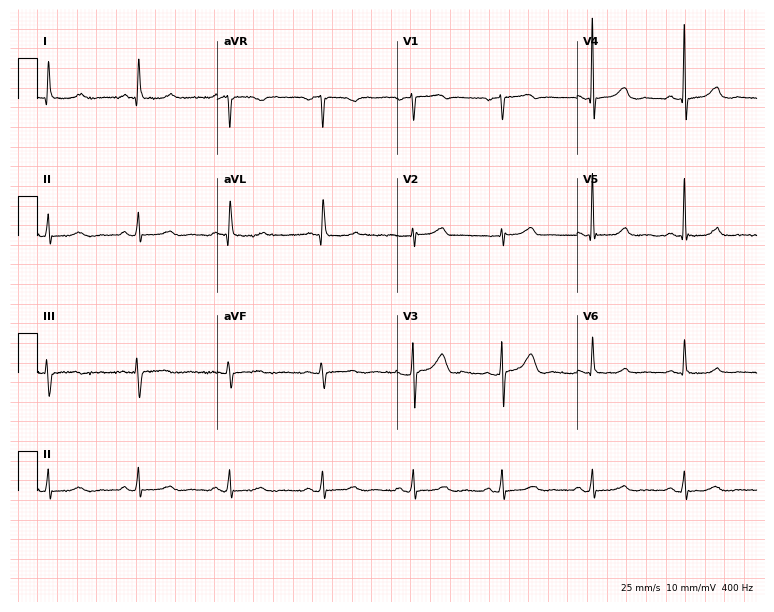
12-lead ECG (7.3-second recording at 400 Hz) from a 63-year-old female patient. Labelled as a normal ECG.